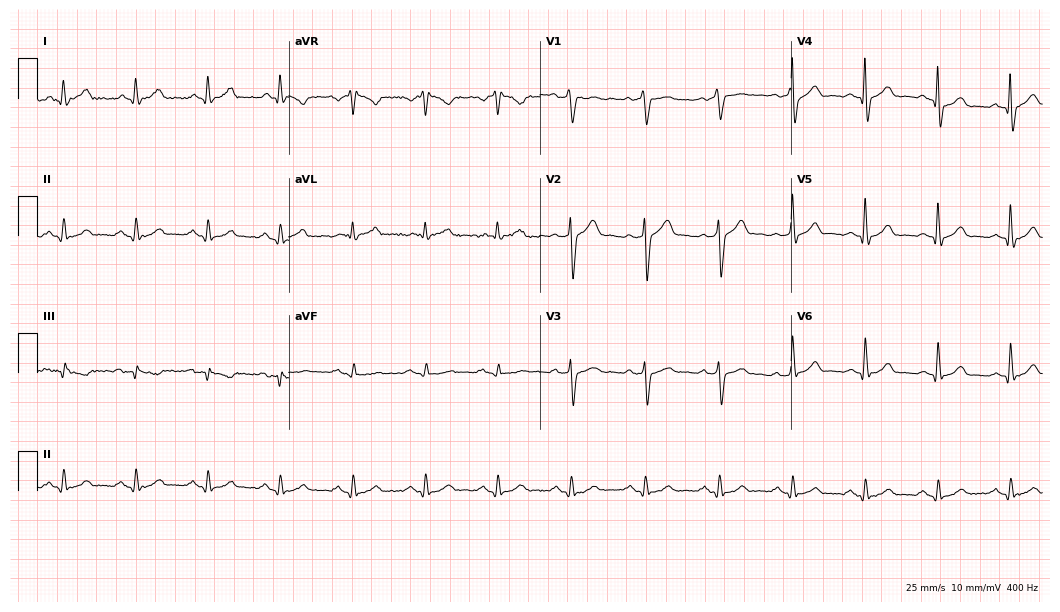
Electrocardiogram (10.2-second recording at 400 Hz), a male patient, 54 years old. Of the six screened findings (first-degree AV block, right bundle branch block (RBBB), left bundle branch block (LBBB), sinus bradycardia, atrial fibrillation (AF), sinus tachycardia), none is recorded.